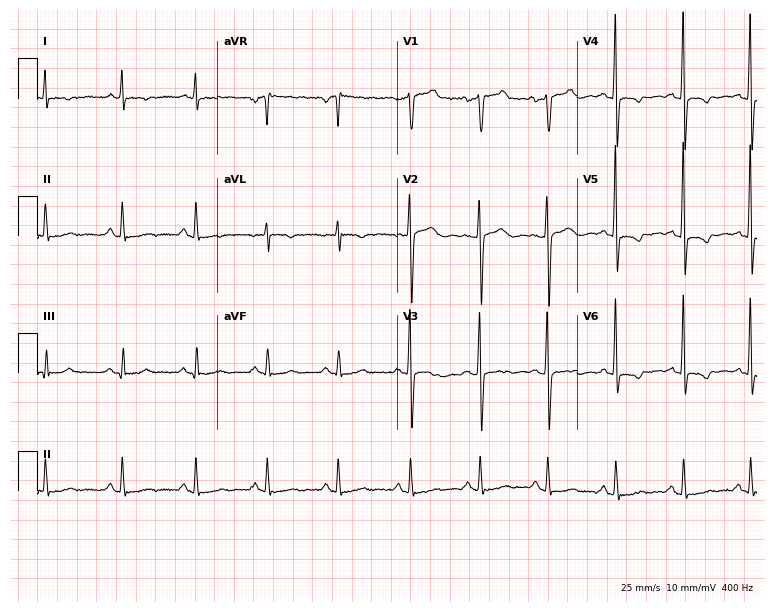
ECG — a male patient, 47 years old. Labelled as a normal ECG.